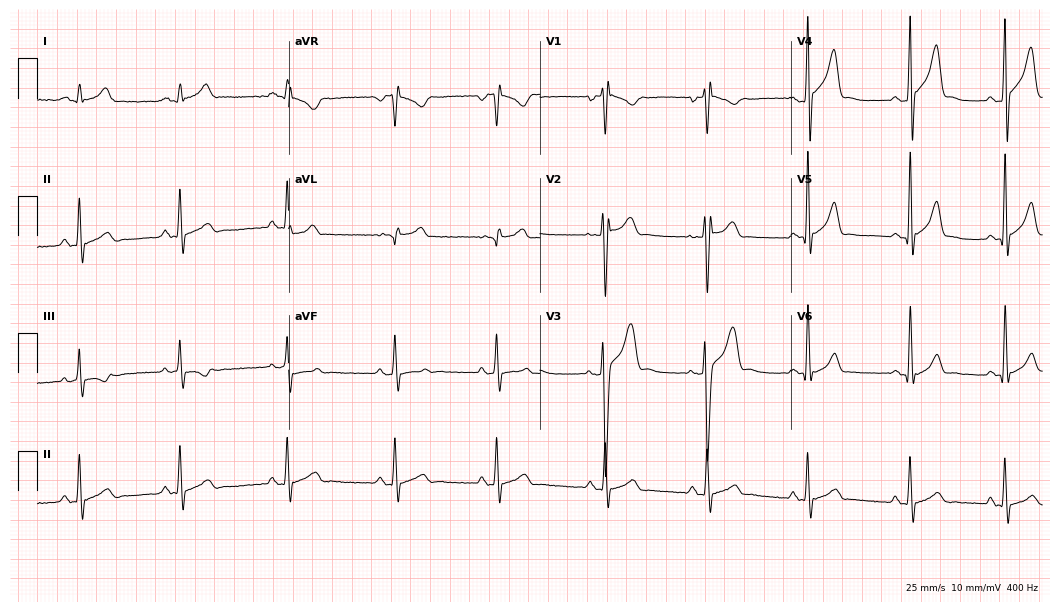
12-lead ECG from a 22-year-old man. No first-degree AV block, right bundle branch block, left bundle branch block, sinus bradycardia, atrial fibrillation or sinus tachycardia recorded for this tracing.